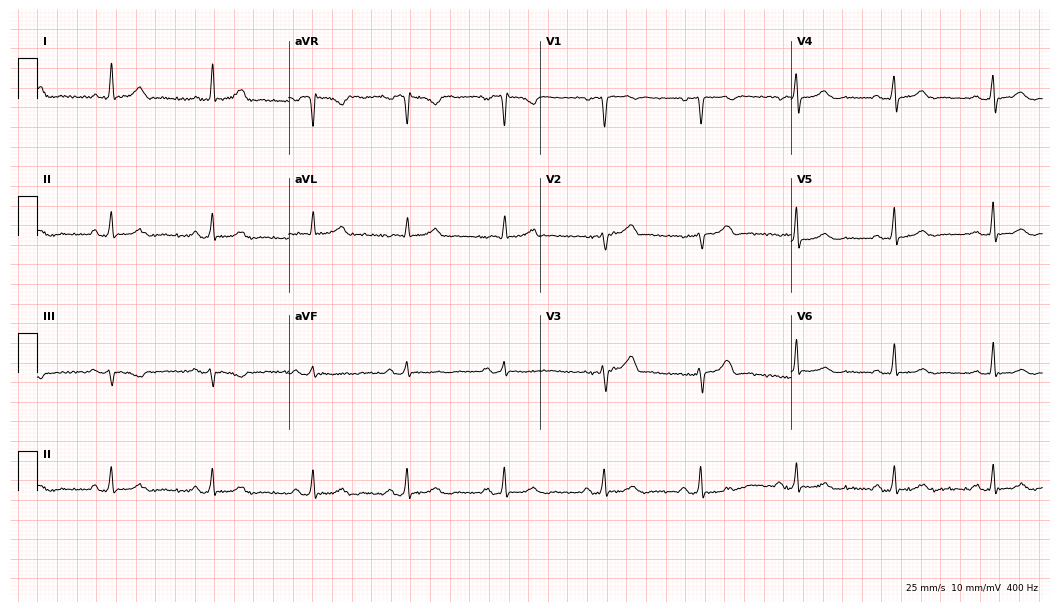
ECG — a 54-year-old female patient. Screened for six findings — first-degree AV block, right bundle branch block (RBBB), left bundle branch block (LBBB), sinus bradycardia, atrial fibrillation (AF), sinus tachycardia — none is recorded.